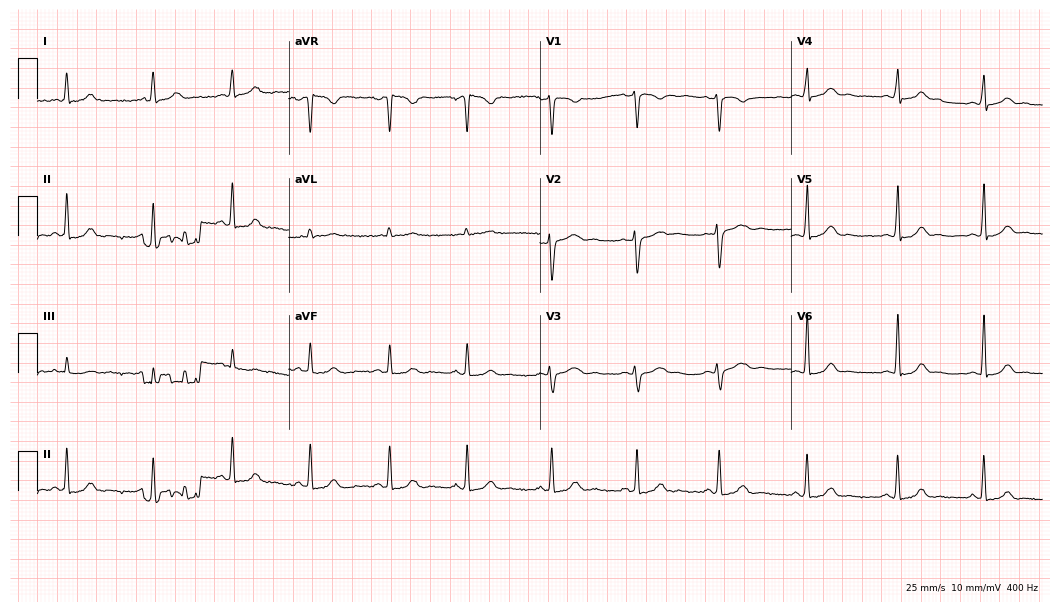
ECG — a woman, 28 years old. Screened for six findings — first-degree AV block, right bundle branch block (RBBB), left bundle branch block (LBBB), sinus bradycardia, atrial fibrillation (AF), sinus tachycardia — none is recorded.